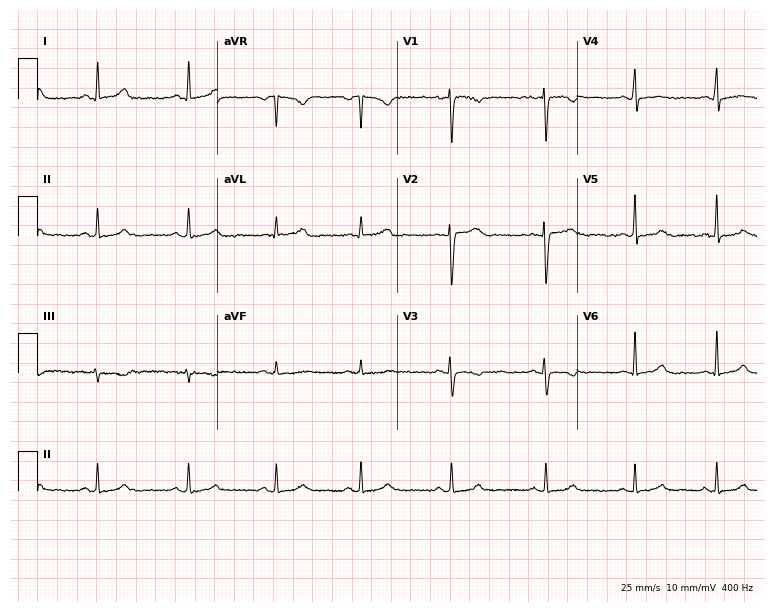
Standard 12-lead ECG recorded from a 33-year-old female patient (7.3-second recording at 400 Hz). None of these six findings is recorded: first-degree AV block, right bundle branch block, left bundle branch block, sinus bradycardia, atrial fibrillation, sinus tachycardia. Findings outside these six are not listed.